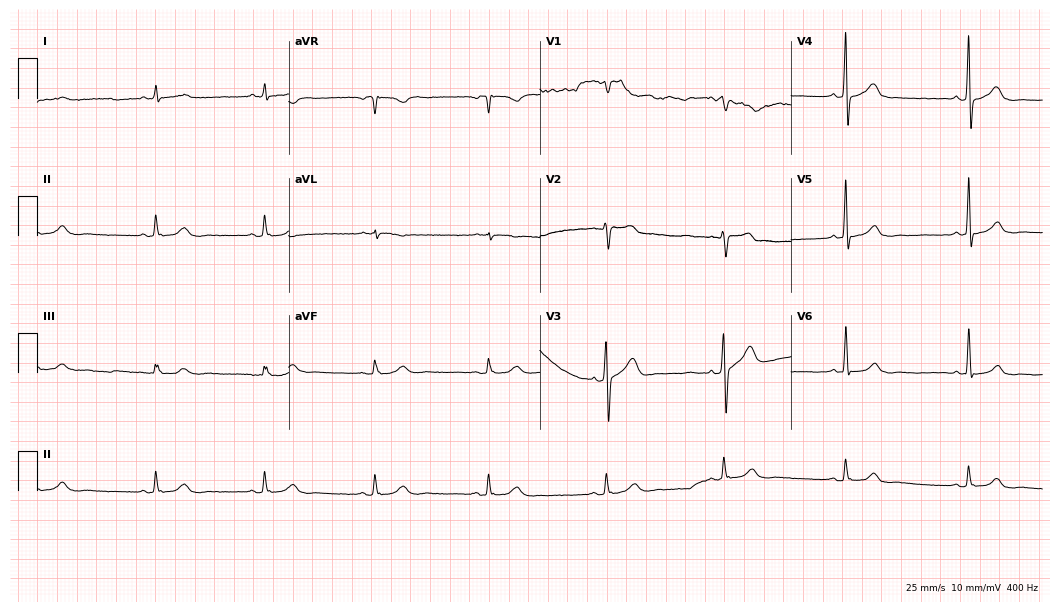
Standard 12-lead ECG recorded from a 69-year-old man. Read as a normal ECG.